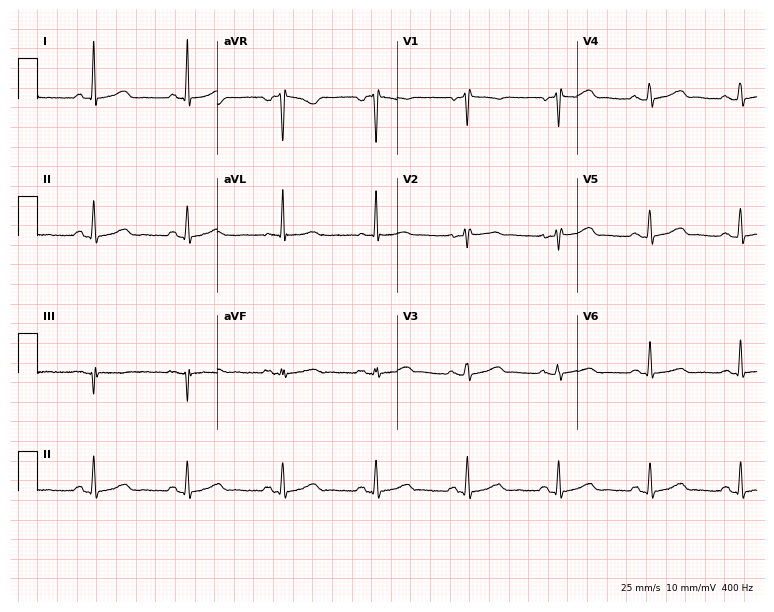
Resting 12-lead electrocardiogram. Patient: a female, 64 years old. None of these six findings is recorded: first-degree AV block, right bundle branch block, left bundle branch block, sinus bradycardia, atrial fibrillation, sinus tachycardia.